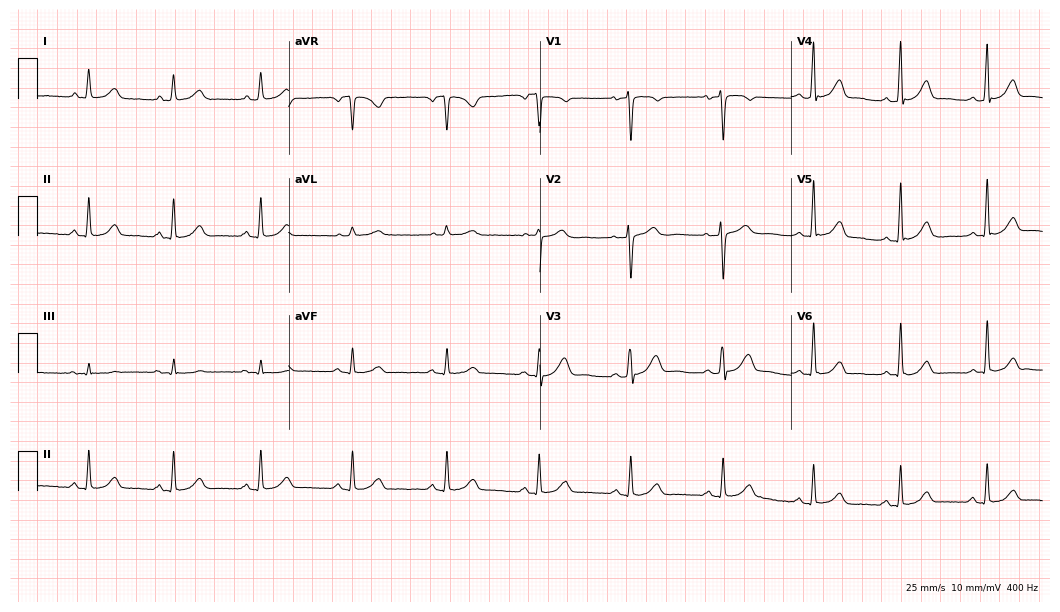
Resting 12-lead electrocardiogram. Patient: a female, 37 years old. Read as a normal ECG.